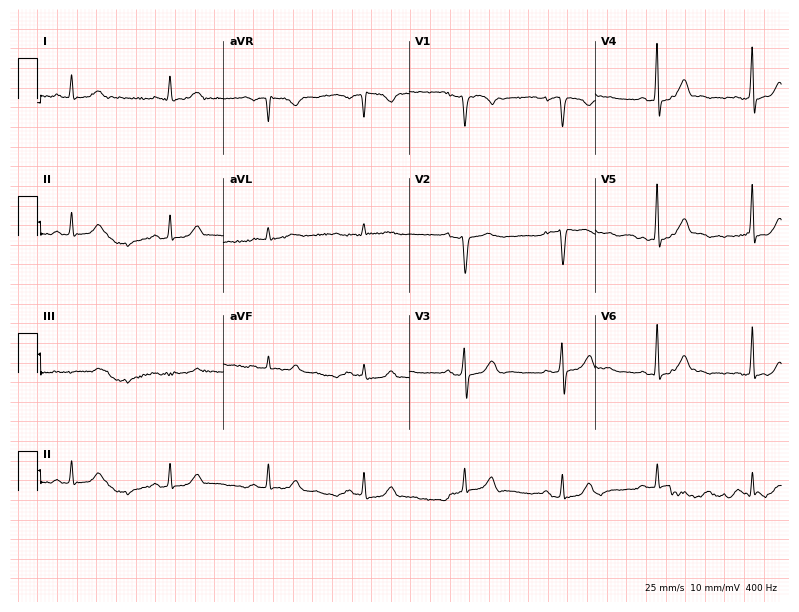
Standard 12-lead ECG recorded from a female patient, 53 years old (7.6-second recording at 400 Hz). None of these six findings is recorded: first-degree AV block, right bundle branch block (RBBB), left bundle branch block (LBBB), sinus bradycardia, atrial fibrillation (AF), sinus tachycardia. Only these six findings were labelled.